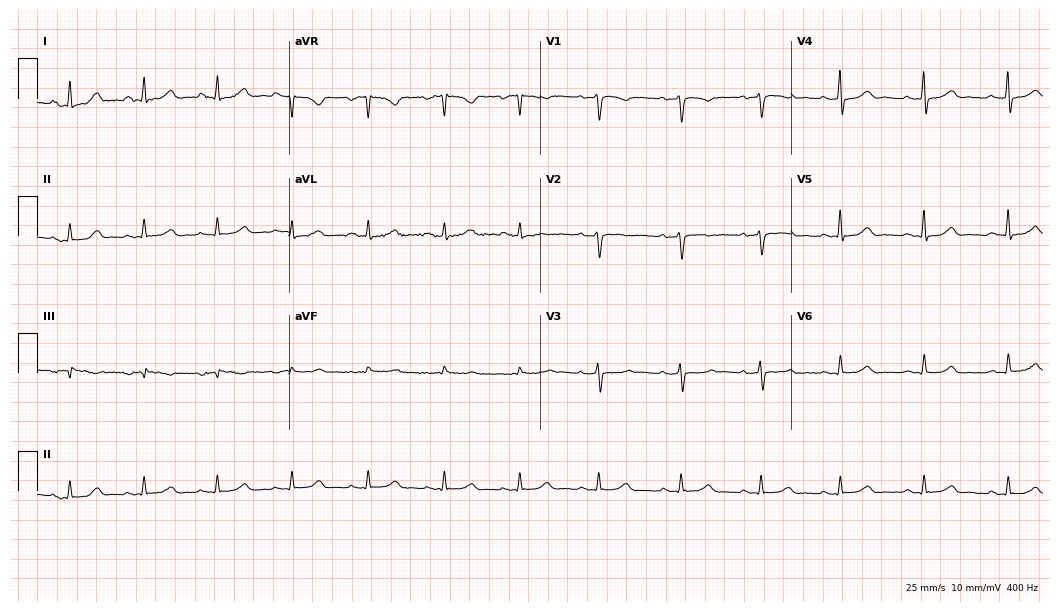
ECG (10.2-second recording at 400 Hz) — a 26-year-old woman. Labelled as a normal ECG.